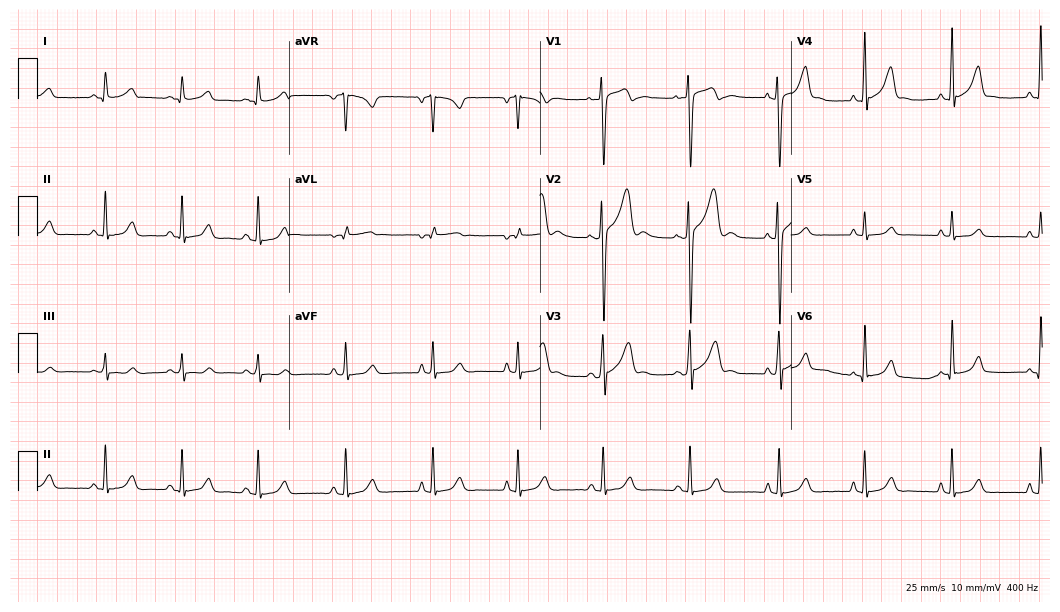
Electrocardiogram (10.2-second recording at 400 Hz), a male, 20 years old. Of the six screened findings (first-degree AV block, right bundle branch block, left bundle branch block, sinus bradycardia, atrial fibrillation, sinus tachycardia), none is recorded. Only these six findings were labelled.